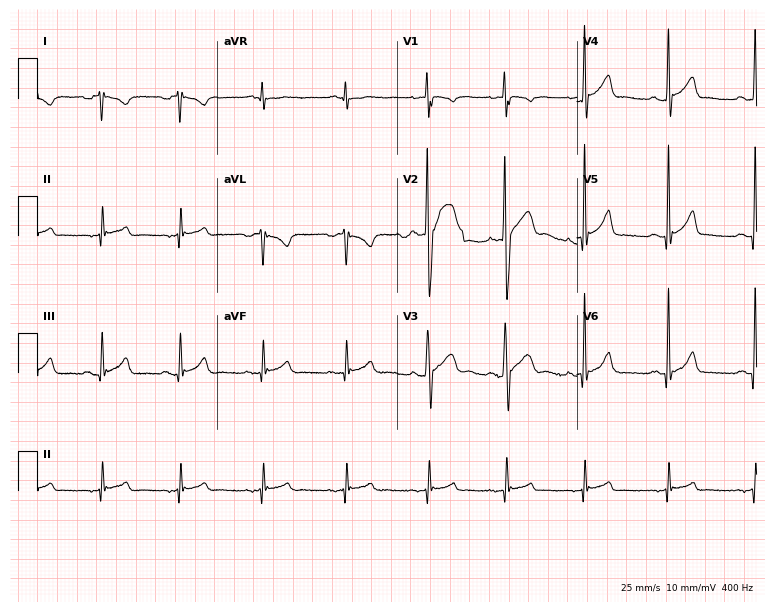
Resting 12-lead electrocardiogram (7.3-second recording at 400 Hz). Patient: a 19-year-old male. None of these six findings is recorded: first-degree AV block, right bundle branch block, left bundle branch block, sinus bradycardia, atrial fibrillation, sinus tachycardia. Other findings, if any, are not listed.